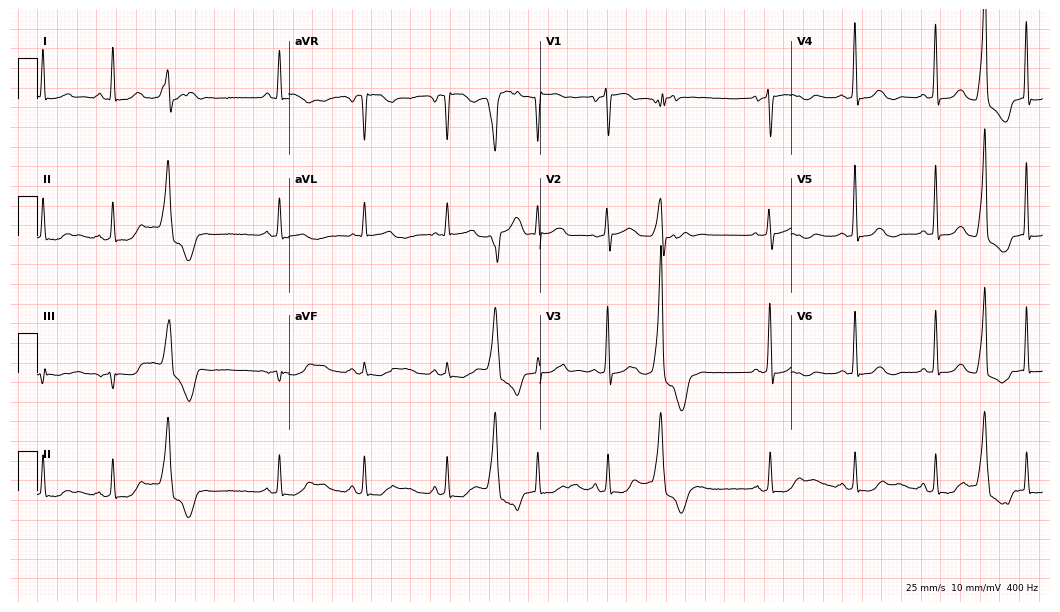
Standard 12-lead ECG recorded from a 64-year-old female patient. None of these six findings is recorded: first-degree AV block, right bundle branch block (RBBB), left bundle branch block (LBBB), sinus bradycardia, atrial fibrillation (AF), sinus tachycardia.